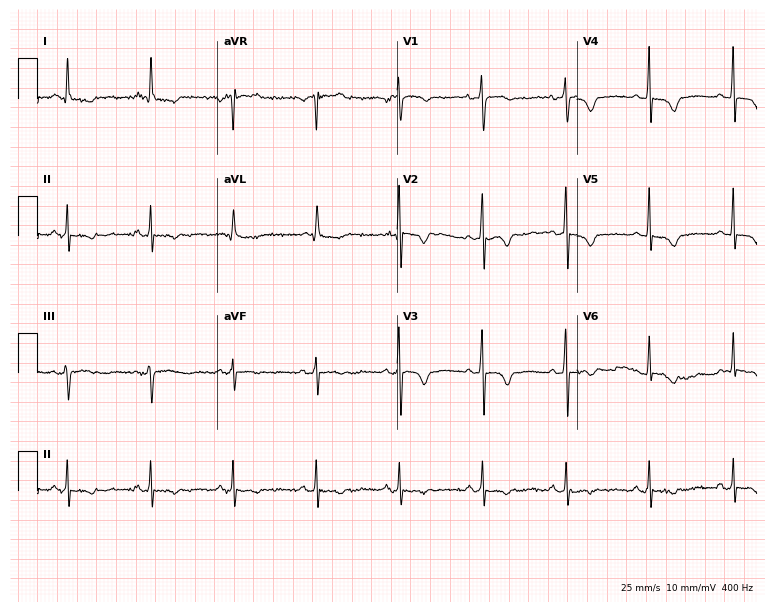
12-lead ECG from a 74-year-old female. Screened for six findings — first-degree AV block, right bundle branch block, left bundle branch block, sinus bradycardia, atrial fibrillation, sinus tachycardia — none is recorded.